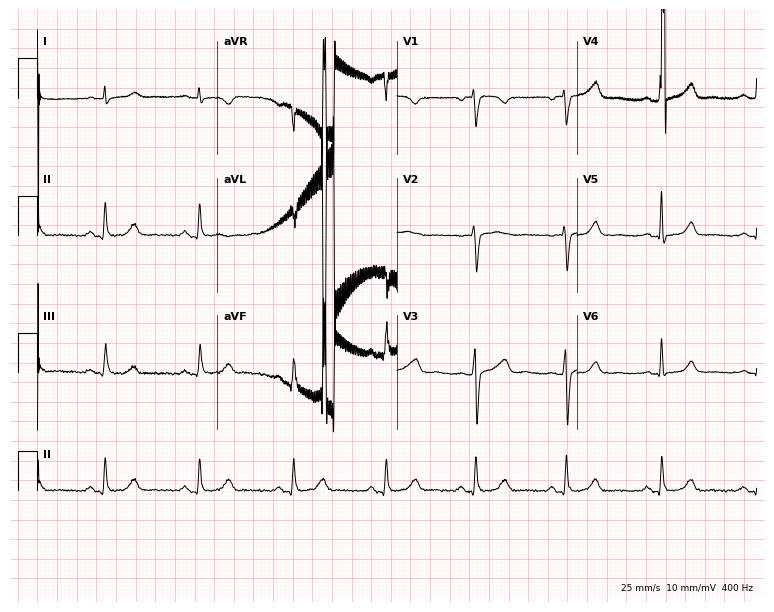
12-lead ECG from a woman, 51 years old (7.3-second recording at 400 Hz). No first-degree AV block, right bundle branch block, left bundle branch block, sinus bradycardia, atrial fibrillation or sinus tachycardia recorded for this tracing.